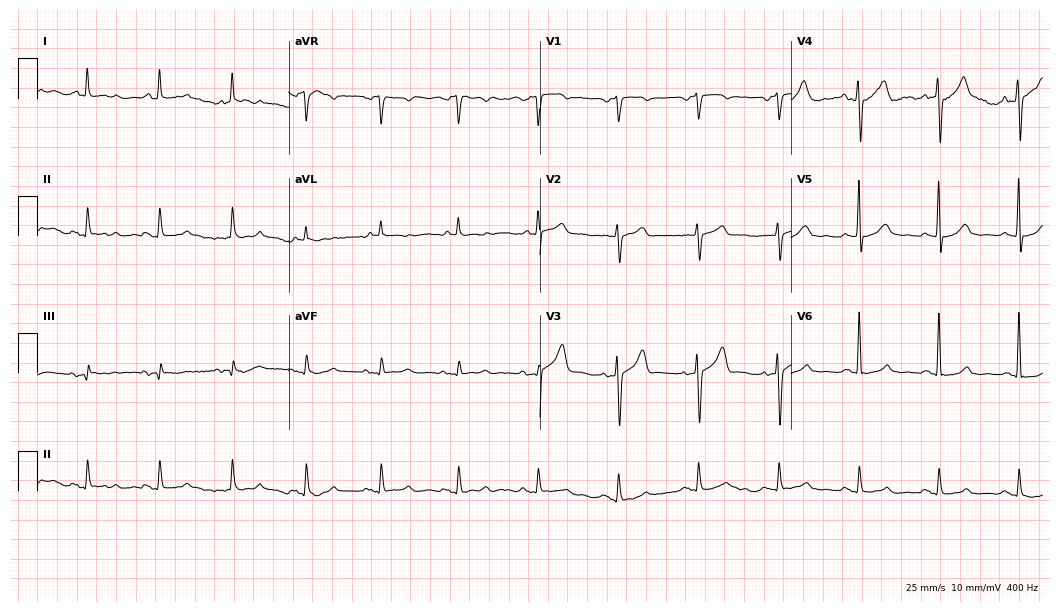
12-lead ECG from a 57-year-old man (10.2-second recording at 400 Hz). Recorded interpretation: within normal limits.